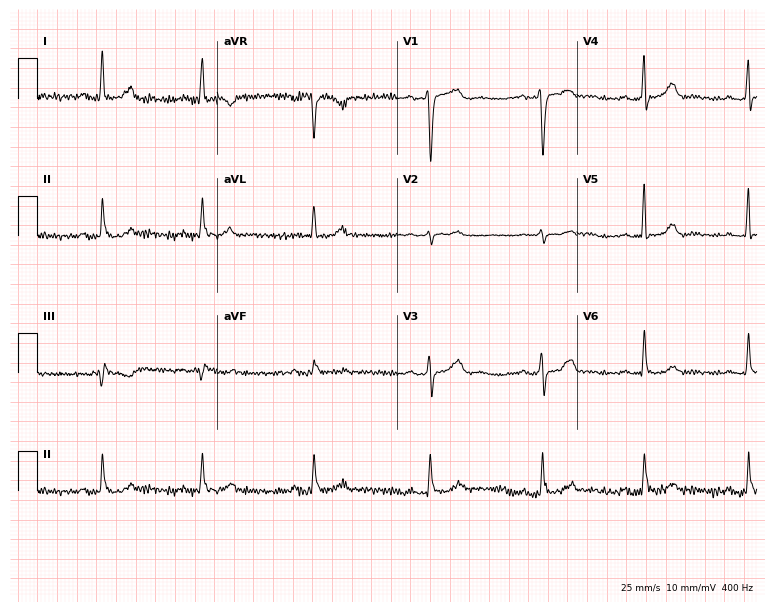
12-lead ECG from a 53-year-old female (7.3-second recording at 400 Hz). Recorded interpretation: within normal limits.